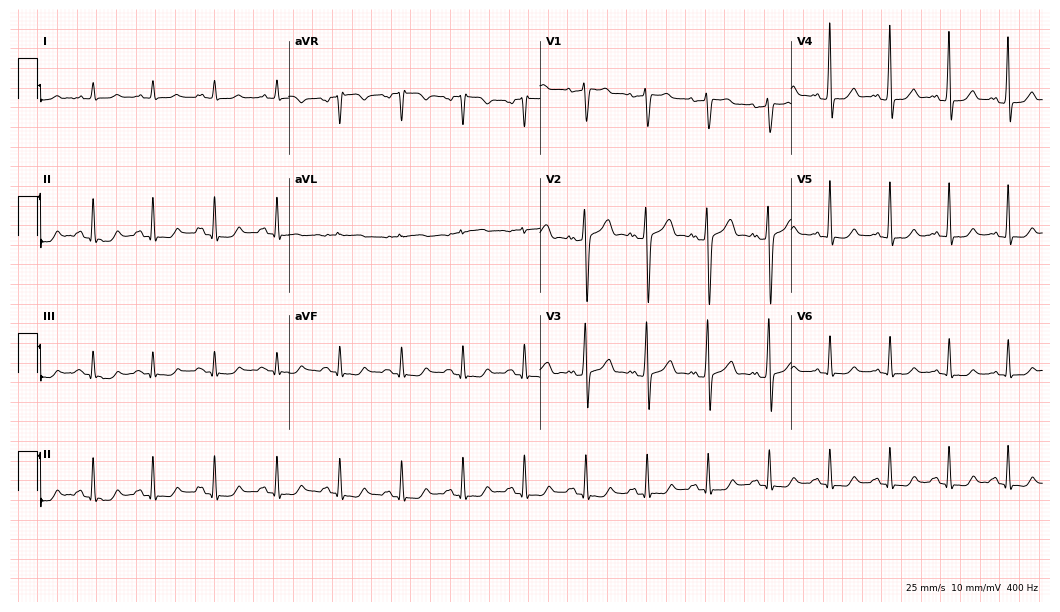
Electrocardiogram (10.2-second recording at 400 Hz), a male patient, 62 years old. Of the six screened findings (first-degree AV block, right bundle branch block, left bundle branch block, sinus bradycardia, atrial fibrillation, sinus tachycardia), none is recorded. Only these six findings were labelled.